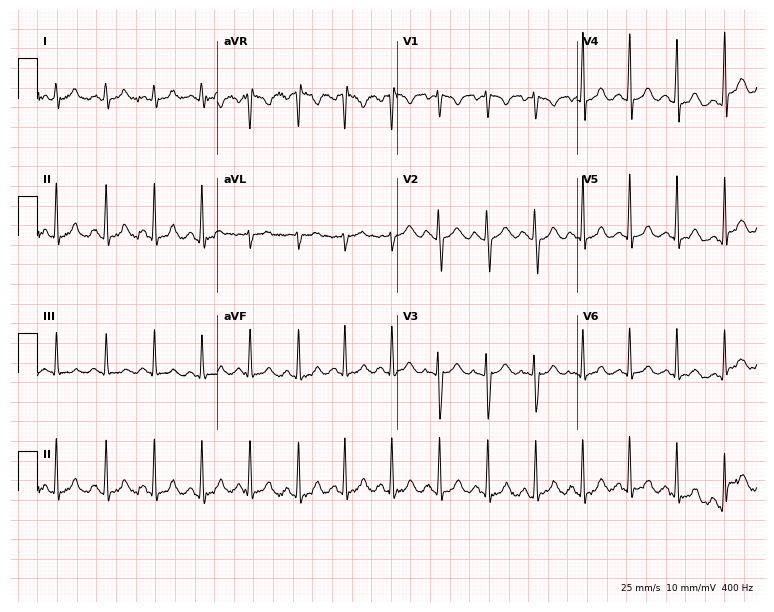
Standard 12-lead ECG recorded from a female patient, 29 years old (7.3-second recording at 400 Hz). None of these six findings is recorded: first-degree AV block, right bundle branch block (RBBB), left bundle branch block (LBBB), sinus bradycardia, atrial fibrillation (AF), sinus tachycardia.